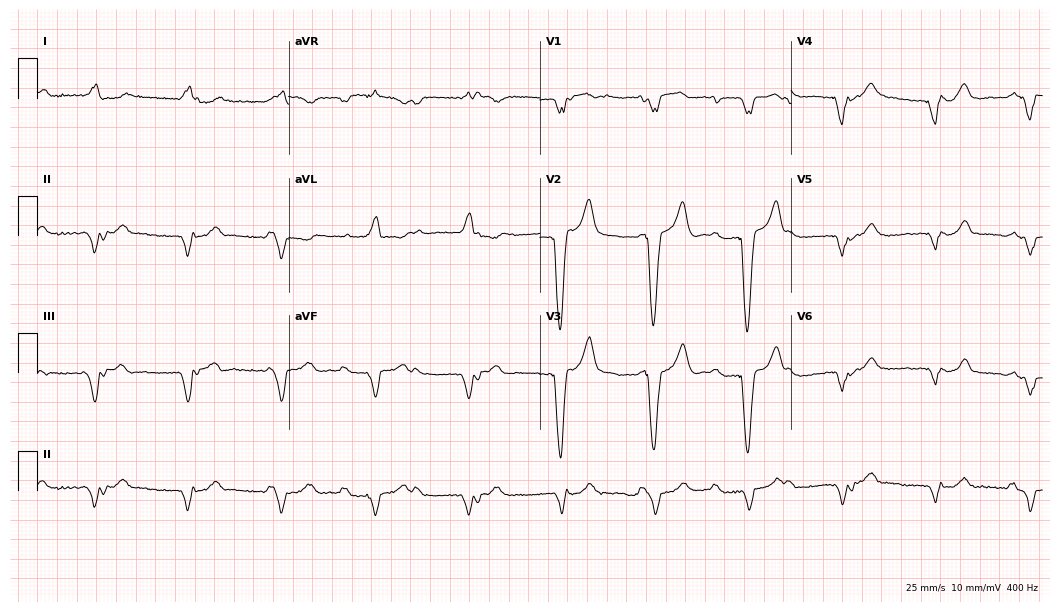
Resting 12-lead electrocardiogram (10.2-second recording at 400 Hz). Patient: an 85-year-old man. None of these six findings is recorded: first-degree AV block, right bundle branch block, left bundle branch block, sinus bradycardia, atrial fibrillation, sinus tachycardia. Findings outside these six are not listed.